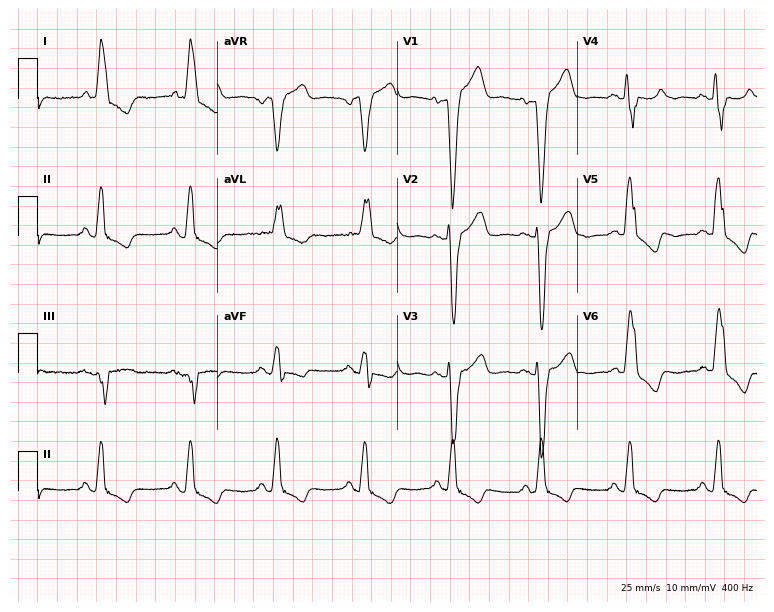
12-lead ECG from a 77-year-old female. Findings include left bundle branch block.